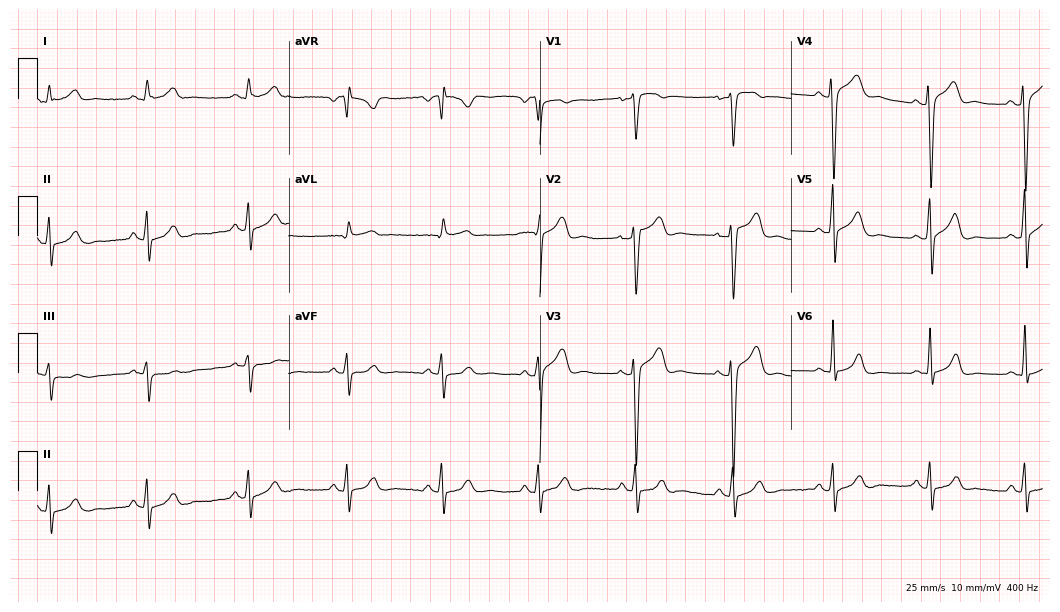
12-lead ECG from a 28-year-old man (10.2-second recording at 400 Hz). Recorded interpretation: within normal limits.